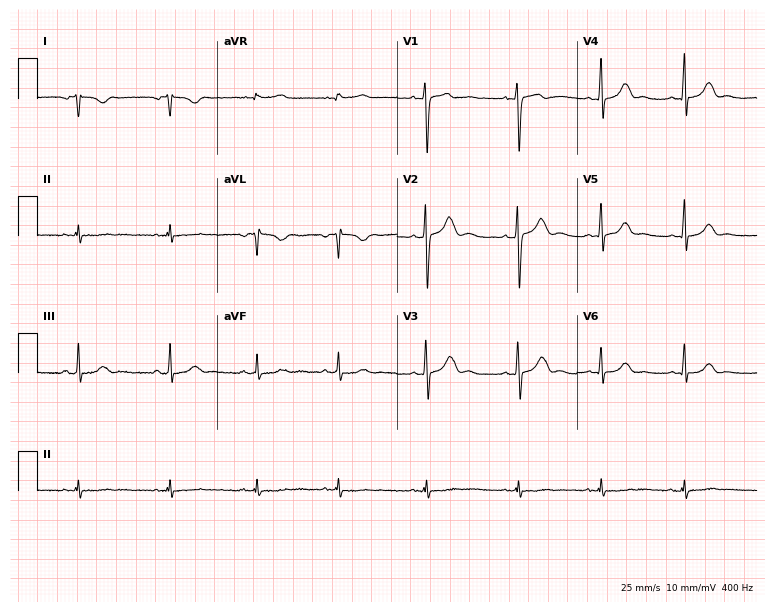
ECG — a 26-year-old woman. Screened for six findings — first-degree AV block, right bundle branch block, left bundle branch block, sinus bradycardia, atrial fibrillation, sinus tachycardia — none is recorded.